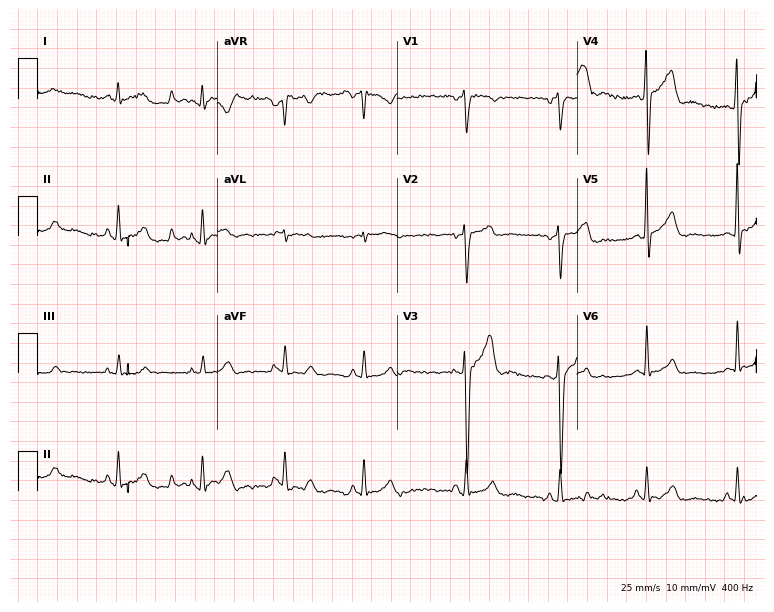
12-lead ECG (7.3-second recording at 400 Hz) from a male, 23 years old. Screened for six findings — first-degree AV block, right bundle branch block, left bundle branch block, sinus bradycardia, atrial fibrillation, sinus tachycardia — none is recorded.